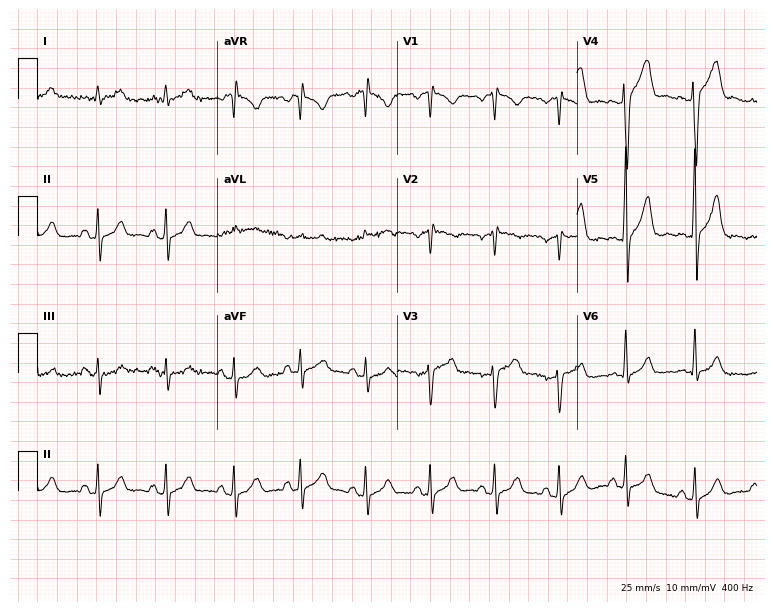
Electrocardiogram, a man, 28 years old. Of the six screened findings (first-degree AV block, right bundle branch block (RBBB), left bundle branch block (LBBB), sinus bradycardia, atrial fibrillation (AF), sinus tachycardia), none is recorded. Findings outside these six are not listed.